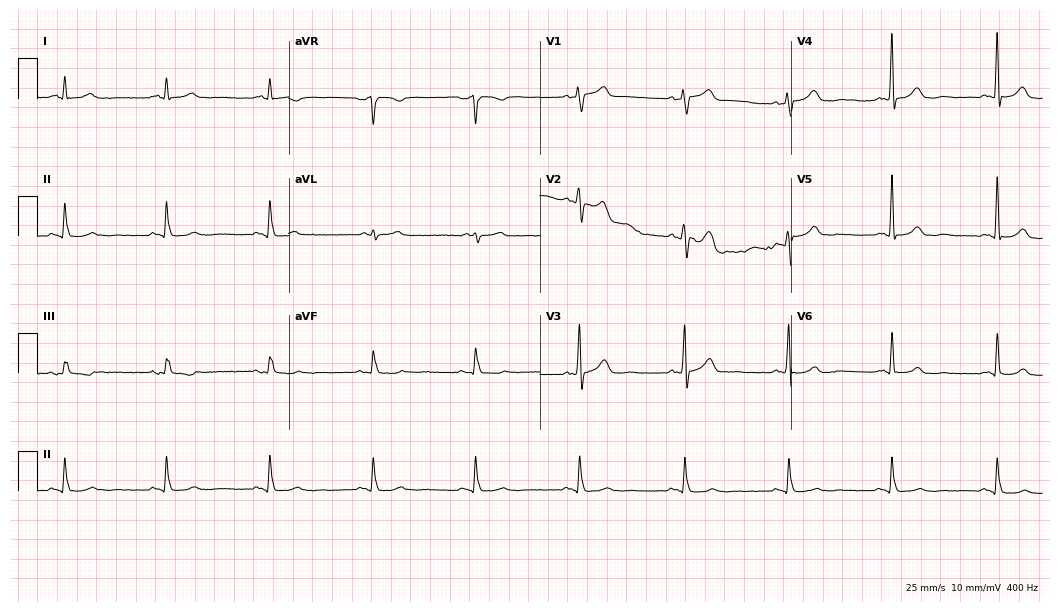
Resting 12-lead electrocardiogram. Patient: a male, 72 years old. Read as a normal ECG.